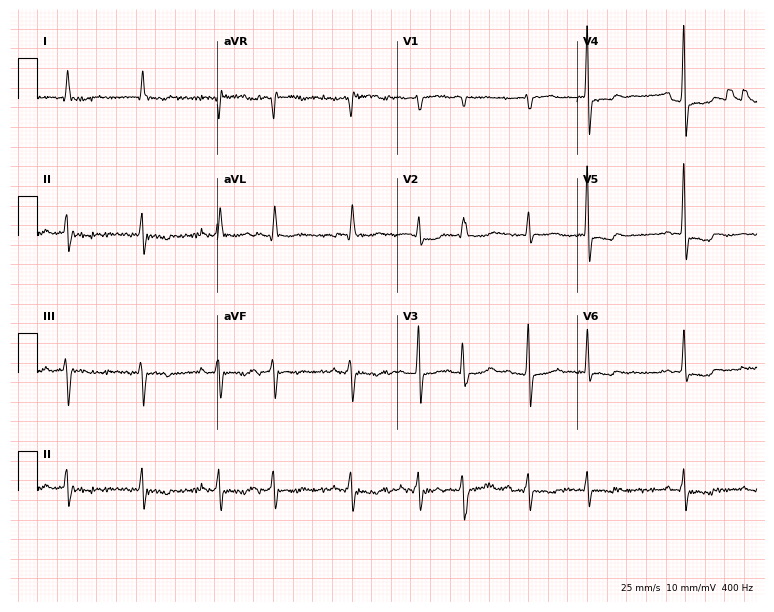
Standard 12-lead ECG recorded from a male patient, 80 years old. The tracing shows atrial fibrillation.